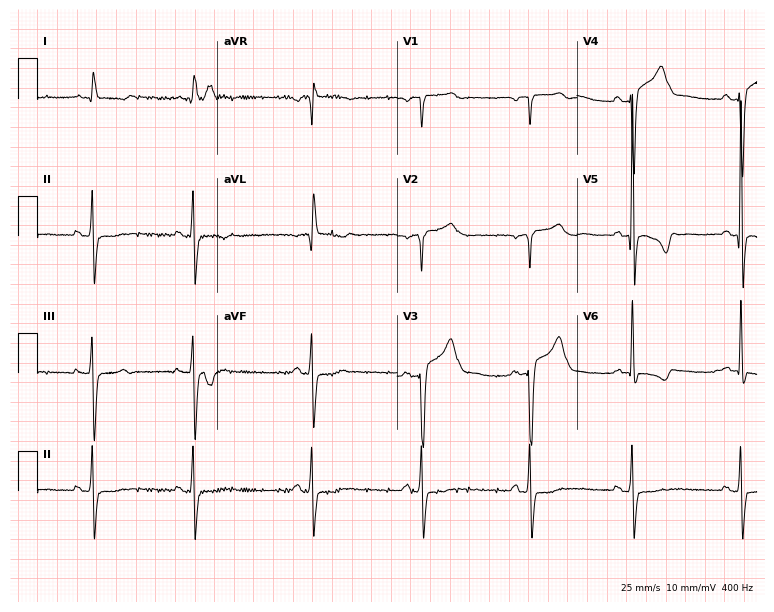
Electrocardiogram (7.3-second recording at 400 Hz), a 79-year-old male. Of the six screened findings (first-degree AV block, right bundle branch block, left bundle branch block, sinus bradycardia, atrial fibrillation, sinus tachycardia), none is recorded.